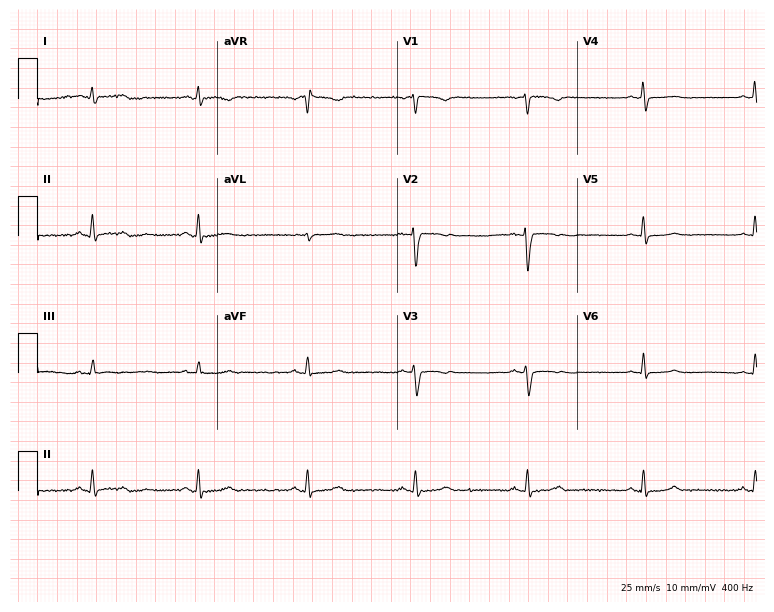
Standard 12-lead ECG recorded from a 39-year-old woman. None of these six findings is recorded: first-degree AV block, right bundle branch block (RBBB), left bundle branch block (LBBB), sinus bradycardia, atrial fibrillation (AF), sinus tachycardia.